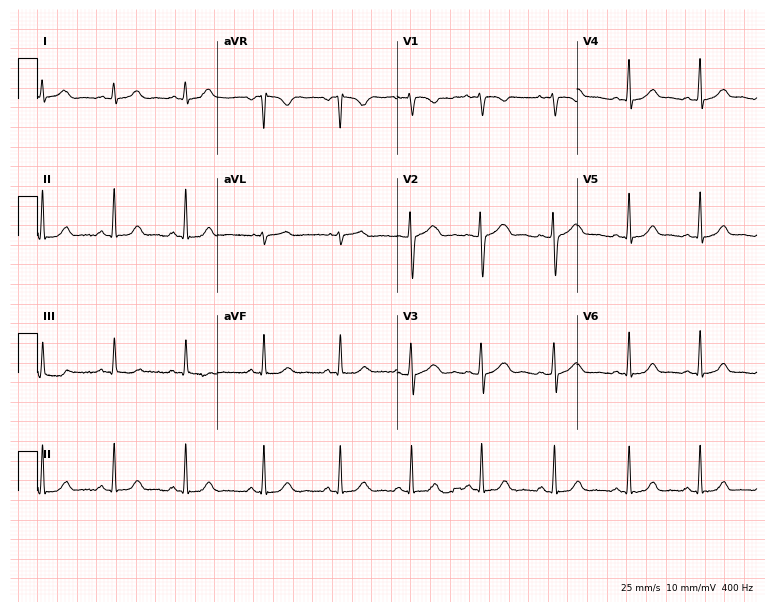
ECG (7.3-second recording at 400 Hz) — a 22-year-old woman. Labelled as a normal ECG.